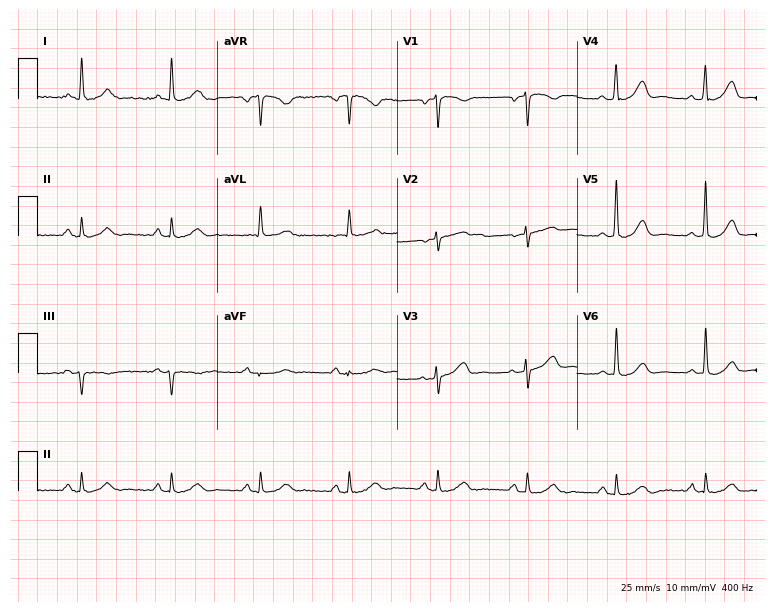
ECG (7.3-second recording at 400 Hz) — a 60-year-old female patient. Screened for six findings — first-degree AV block, right bundle branch block, left bundle branch block, sinus bradycardia, atrial fibrillation, sinus tachycardia — none is recorded.